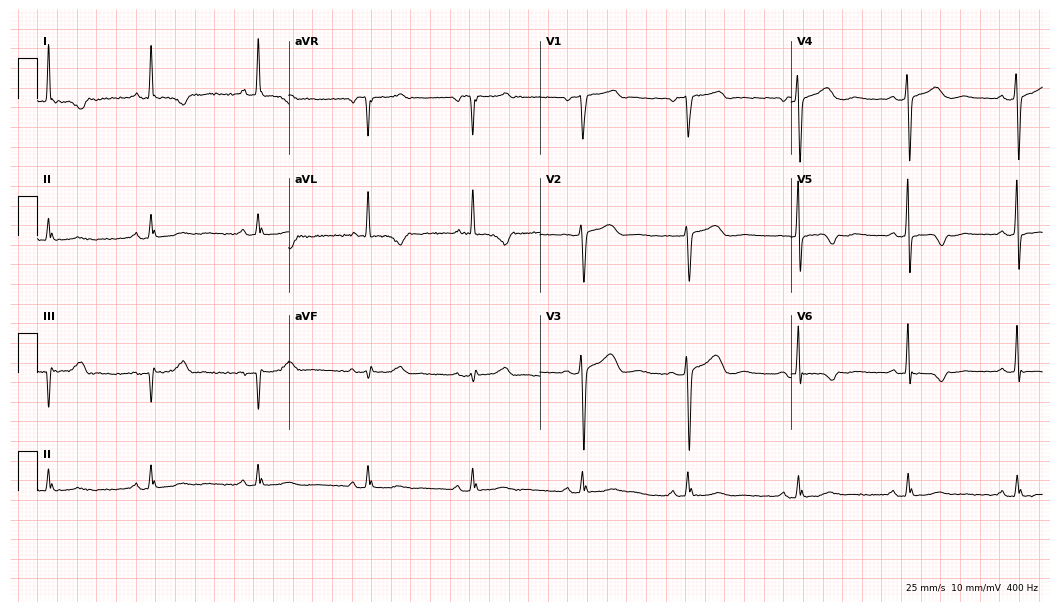
Standard 12-lead ECG recorded from a 61-year-old female. None of these six findings is recorded: first-degree AV block, right bundle branch block (RBBB), left bundle branch block (LBBB), sinus bradycardia, atrial fibrillation (AF), sinus tachycardia. Other findings, if any, are not listed.